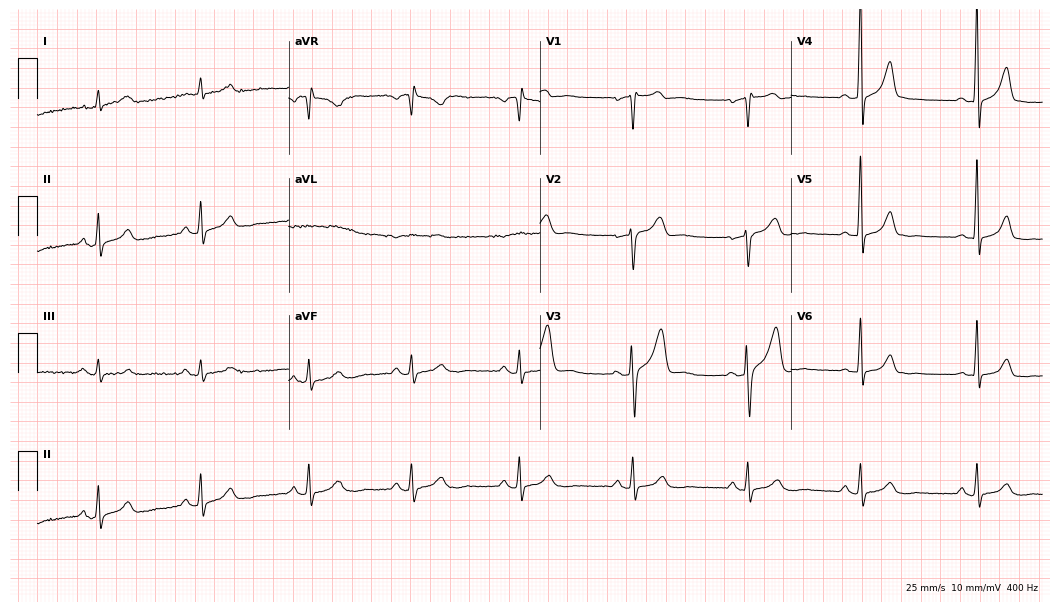
12-lead ECG from a man, 38 years old. Labelled as a normal ECG.